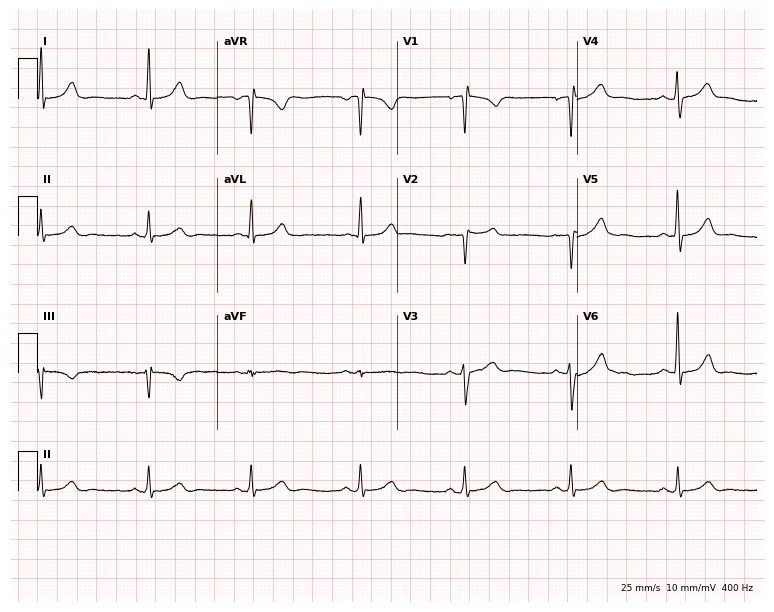
Standard 12-lead ECG recorded from a 30-year-old male patient. None of these six findings is recorded: first-degree AV block, right bundle branch block, left bundle branch block, sinus bradycardia, atrial fibrillation, sinus tachycardia.